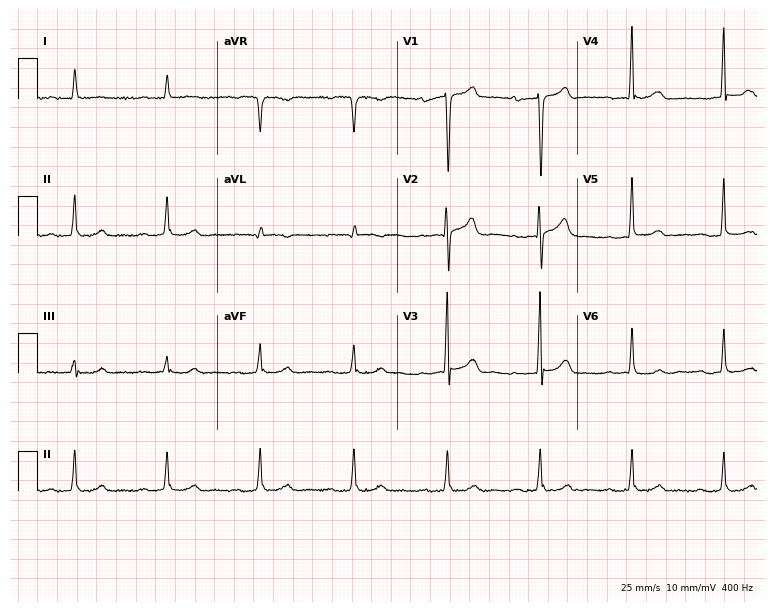
Electrocardiogram, a male, 82 years old. Interpretation includes first-degree AV block.